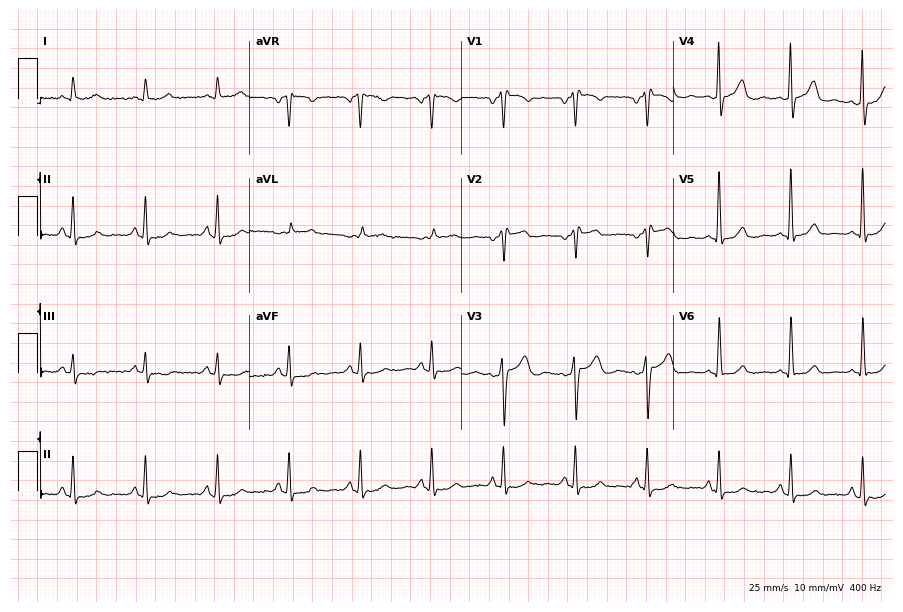
Resting 12-lead electrocardiogram. Patient: a man, 60 years old. None of these six findings is recorded: first-degree AV block, right bundle branch block, left bundle branch block, sinus bradycardia, atrial fibrillation, sinus tachycardia. Findings outside these six are not listed.